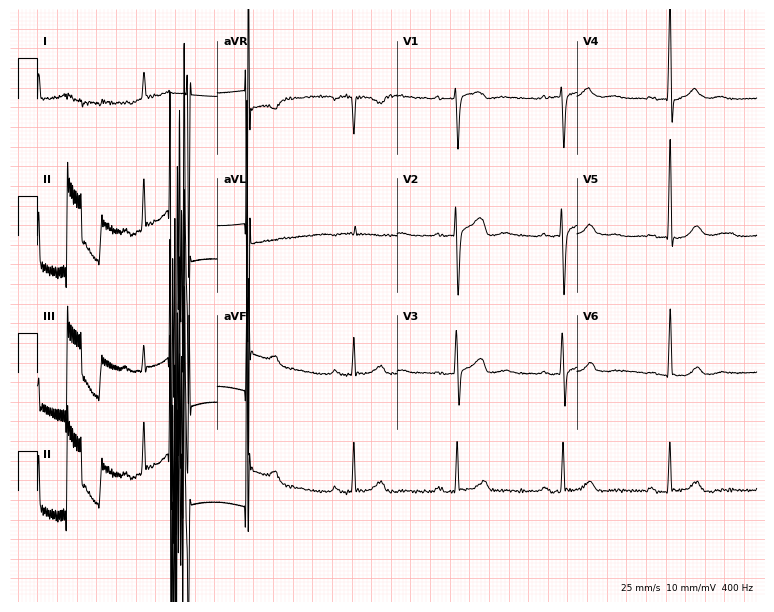
Electrocardiogram, a male patient, 65 years old. Of the six screened findings (first-degree AV block, right bundle branch block, left bundle branch block, sinus bradycardia, atrial fibrillation, sinus tachycardia), none is recorded. Only these six findings were labelled.